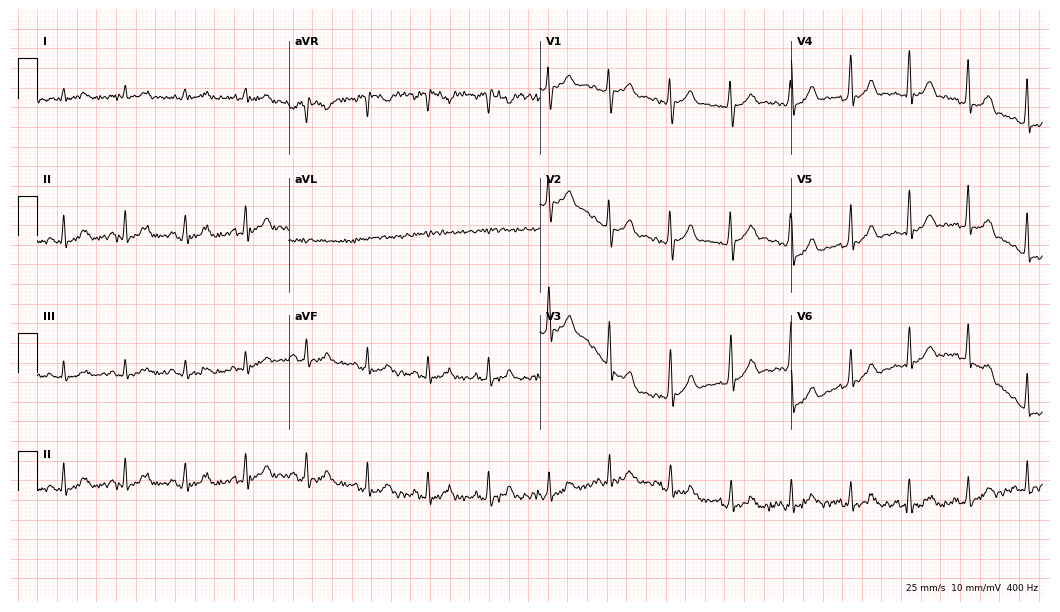
12-lead ECG from a 44-year-old man. No first-degree AV block, right bundle branch block (RBBB), left bundle branch block (LBBB), sinus bradycardia, atrial fibrillation (AF) or sinus tachycardia recorded for this tracing. Only these six findings were labelled.